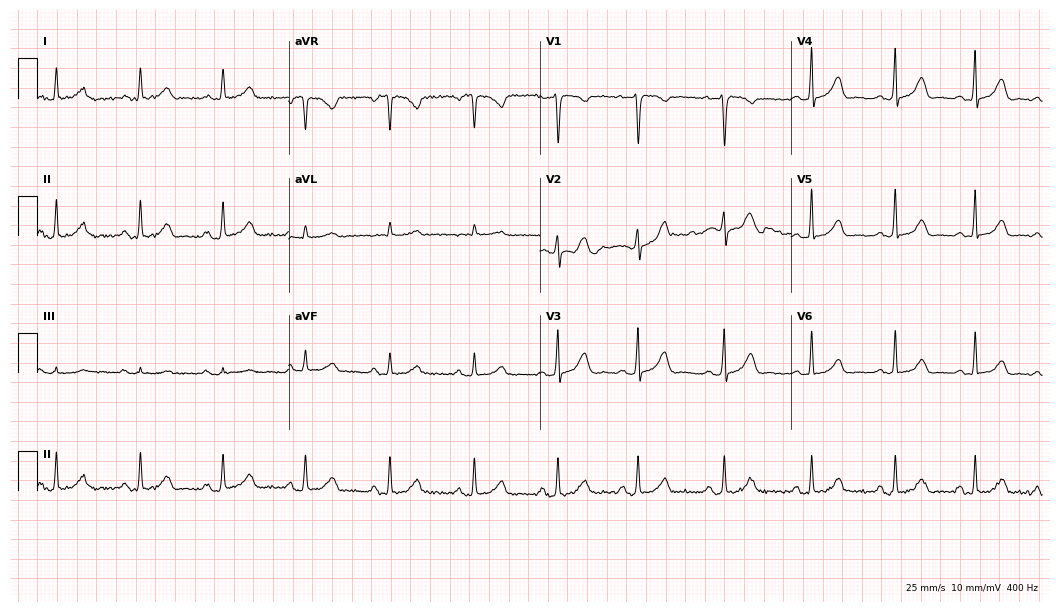
Standard 12-lead ECG recorded from a female, 40 years old (10.2-second recording at 400 Hz). Read as a normal ECG.